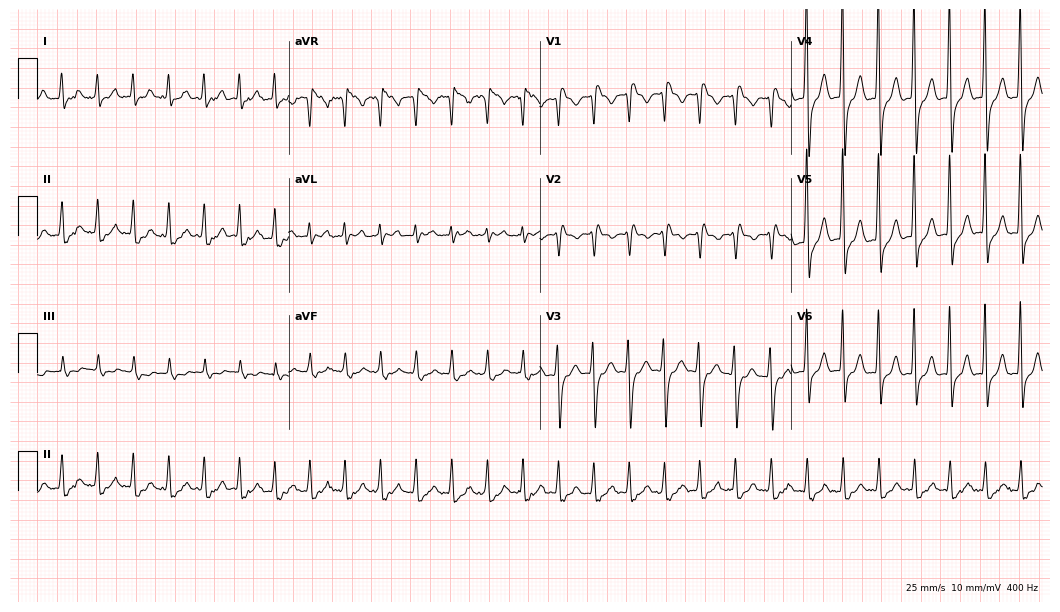
Electrocardiogram, a 53-year-old man. Interpretation includes sinus tachycardia (a sinus rate of 100 beats per minute or more).